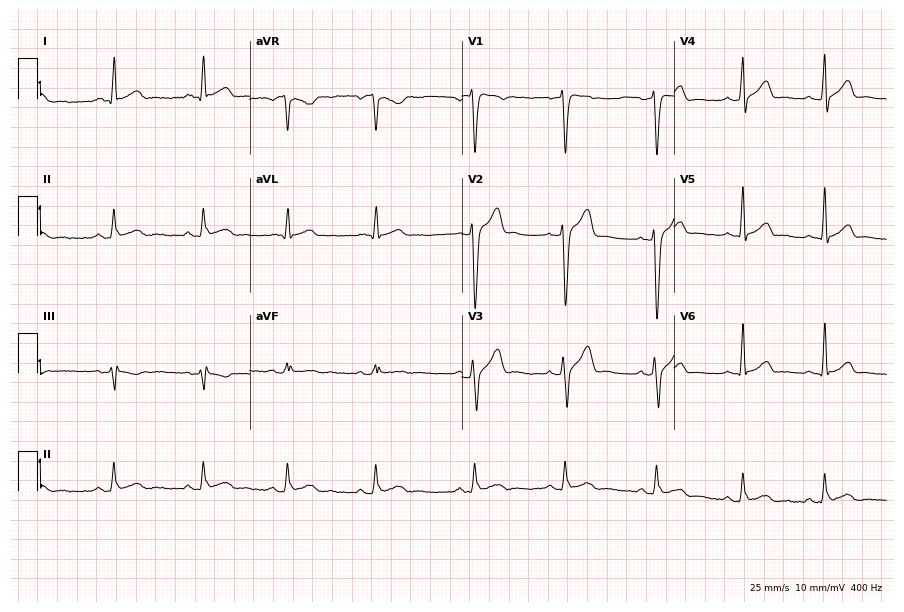
Resting 12-lead electrocardiogram (8.7-second recording at 400 Hz). Patient: a 28-year-old male. Read as a normal ECG.